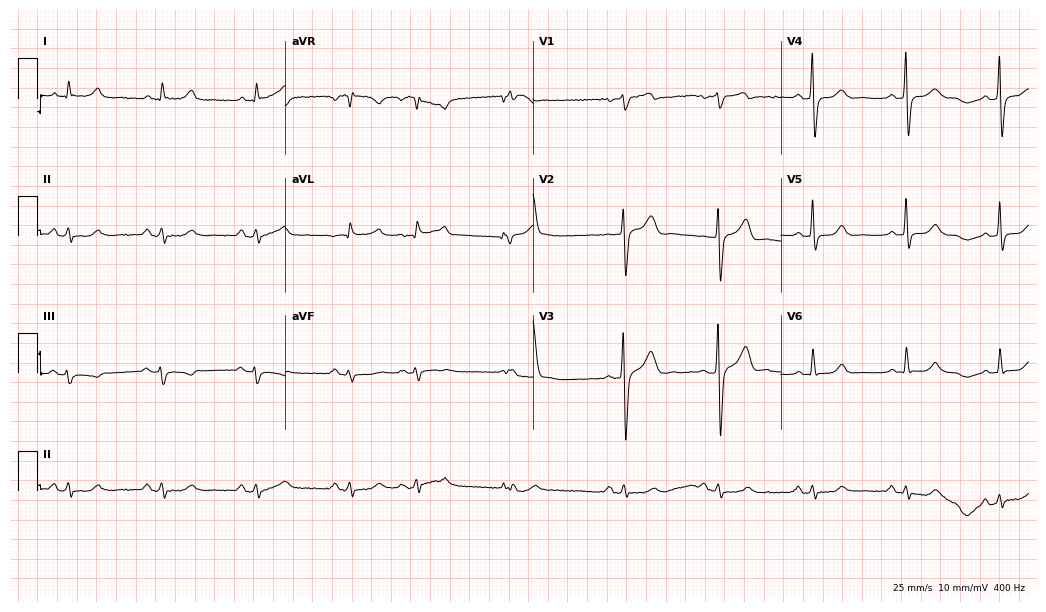
12-lead ECG from a 78-year-old male patient. Recorded interpretation: within normal limits.